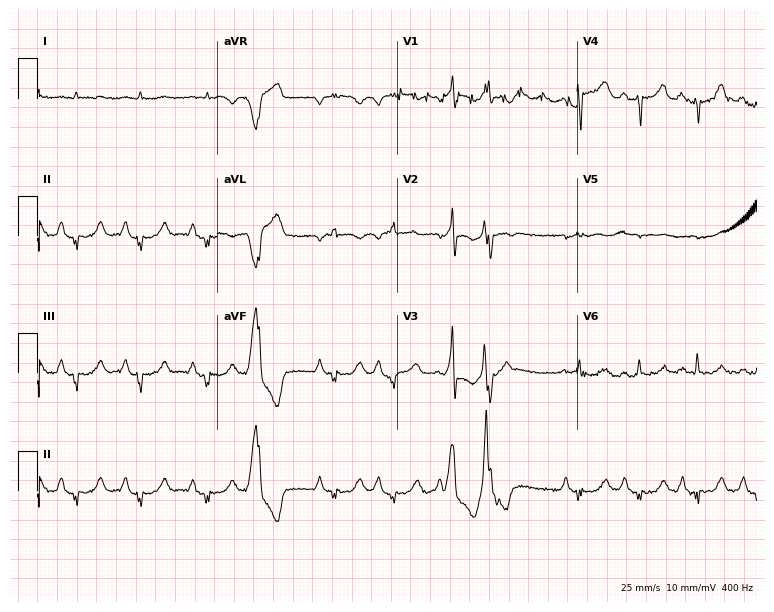
Resting 12-lead electrocardiogram (7.3-second recording at 400 Hz). Patient: a male, 77 years old. None of these six findings is recorded: first-degree AV block, right bundle branch block, left bundle branch block, sinus bradycardia, atrial fibrillation, sinus tachycardia. Findings outside these six are not listed.